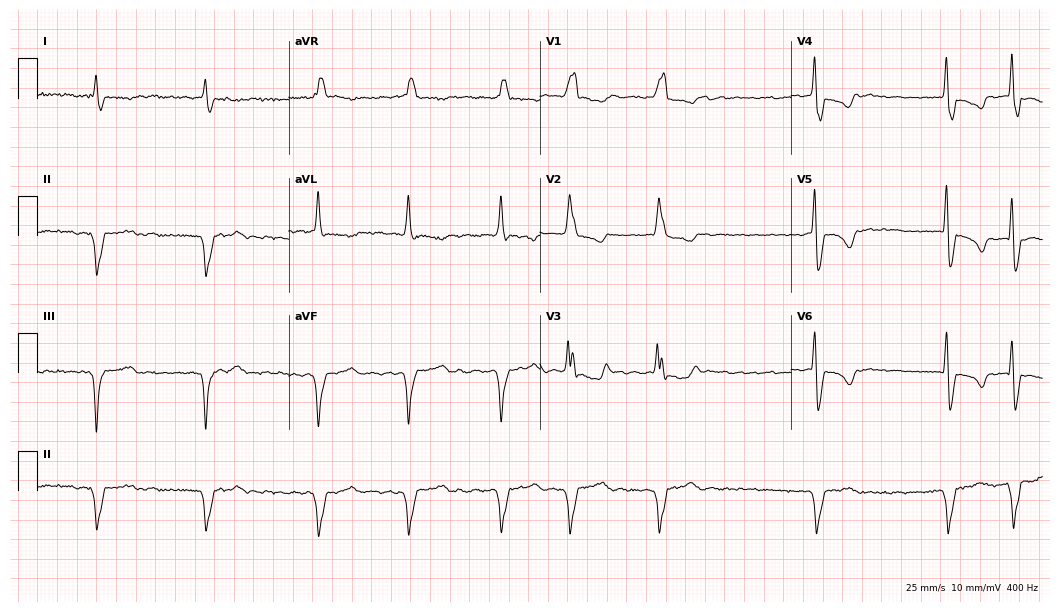
ECG (10.2-second recording at 400 Hz) — a man, 85 years old. Findings include right bundle branch block (RBBB), atrial fibrillation (AF).